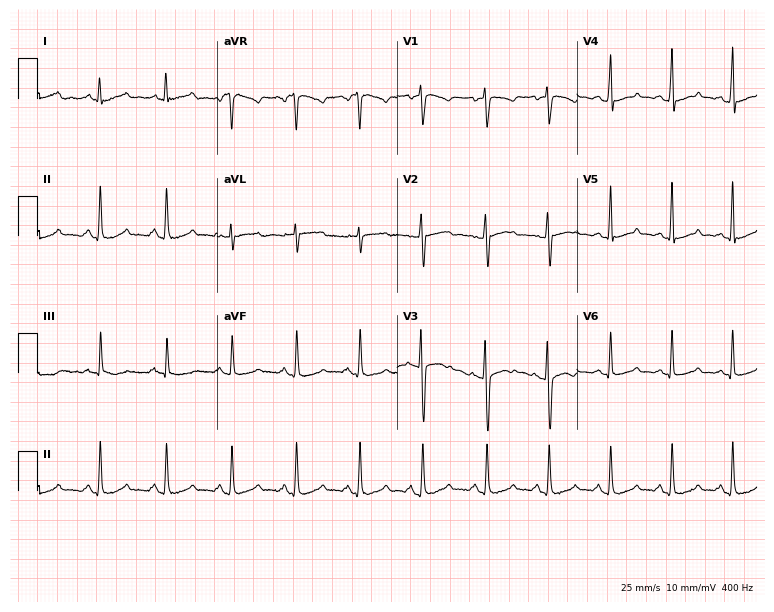
12-lead ECG from a 35-year-old female (7.3-second recording at 400 Hz). Recorded interpretation: within normal limits.